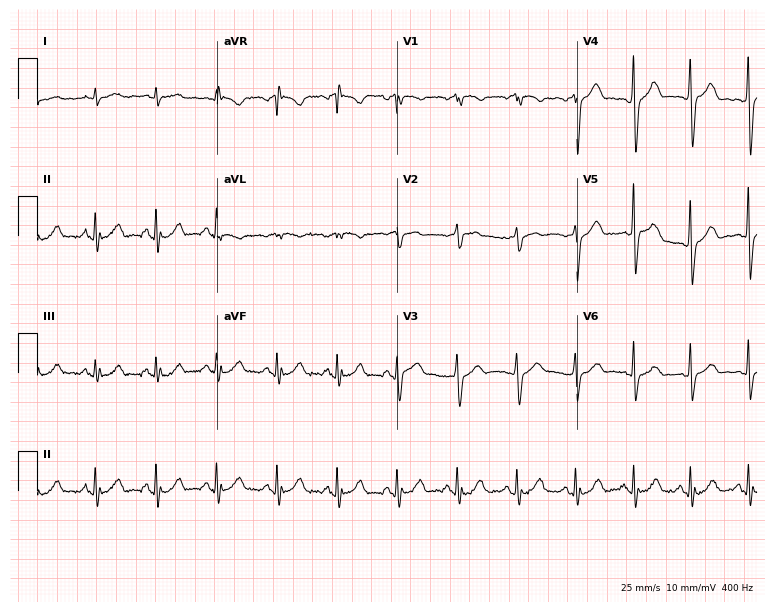
ECG (7.3-second recording at 400 Hz) — a man, 75 years old. Screened for six findings — first-degree AV block, right bundle branch block (RBBB), left bundle branch block (LBBB), sinus bradycardia, atrial fibrillation (AF), sinus tachycardia — none is recorded.